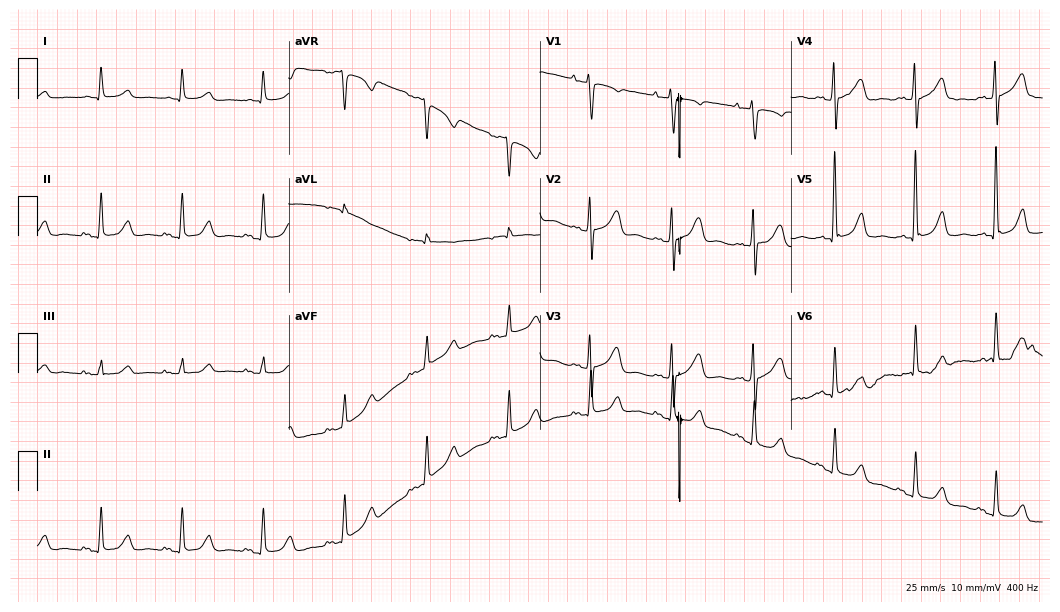
Electrocardiogram, a woman, 79 years old. Of the six screened findings (first-degree AV block, right bundle branch block (RBBB), left bundle branch block (LBBB), sinus bradycardia, atrial fibrillation (AF), sinus tachycardia), none is recorded. Findings outside these six are not listed.